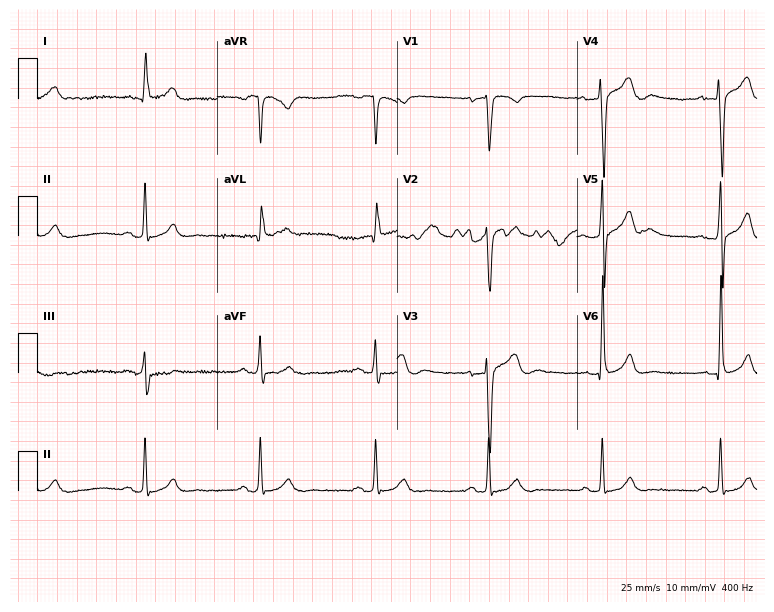
Electrocardiogram (7.3-second recording at 400 Hz), an 81-year-old male patient. Of the six screened findings (first-degree AV block, right bundle branch block, left bundle branch block, sinus bradycardia, atrial fibrillation, sinus tachycardia), none is recorded. Other findings, if any, are not listed.